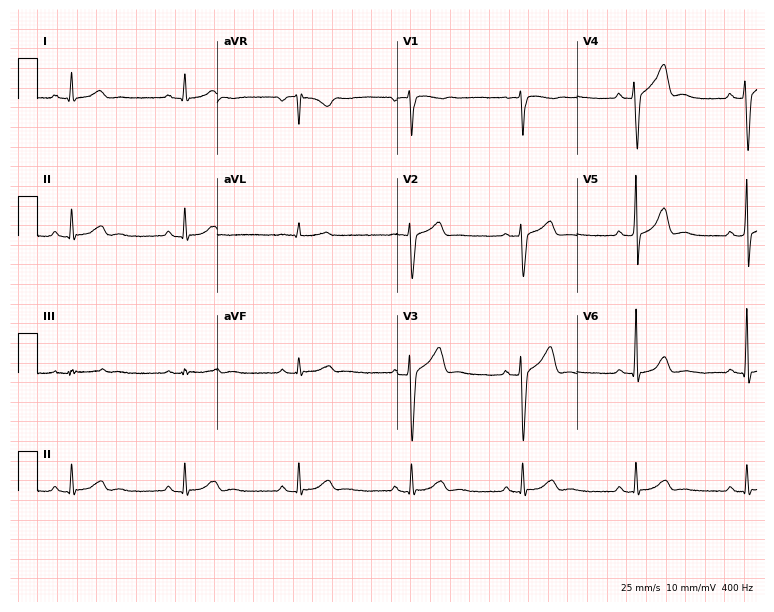
12-lead ECG from a 58-year-old male patient. Recorded interpretation: within normal limits.